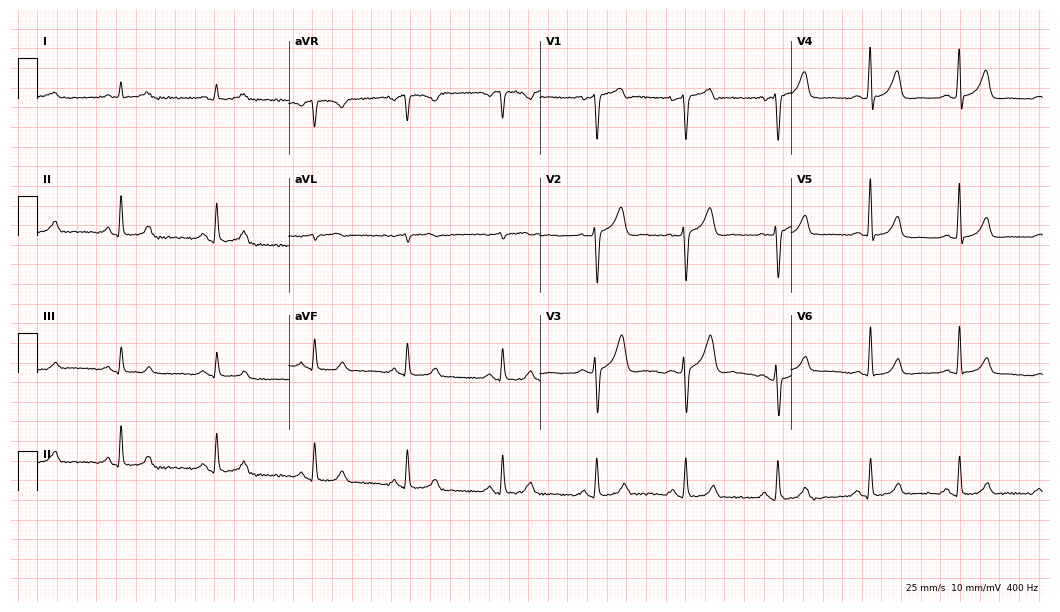
ECG — a male patient, 57 years old. Labelled as a normal ECG.